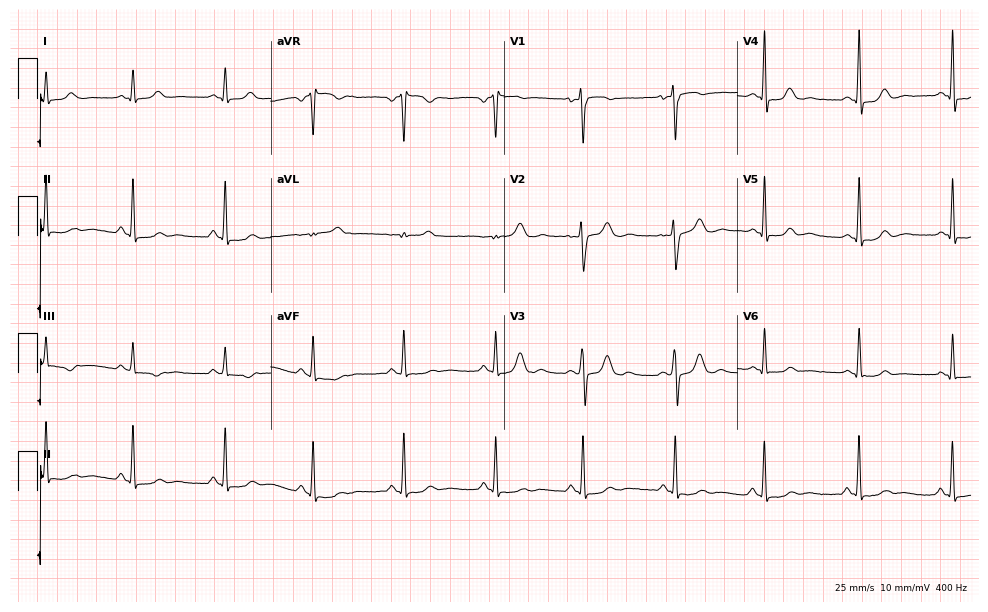
12-lead ECG from a female patient, 25 years old (9.5-second recording at 400 Hz). No first-degree AV block, right bundle branch block (RBBB), left bundle branch block (LBBB), sinus bradycardia, atrial fibrillation (AF) or sinus tachycardia recorded for this tracing. Only these six findings were labelled.